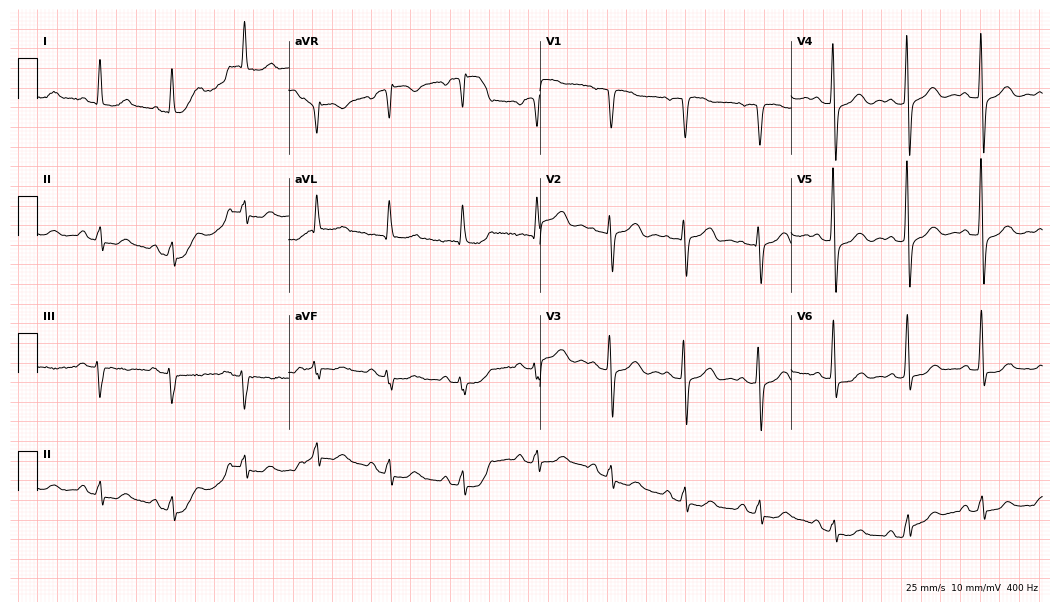
Standard 12-lead ECG recorded from a female patient, 71 years old. None of these six findings is recorded: first-degree AV block, right bundle branch block, left bundle branch block, sinus bradycardia, atrial fibrillation, sinus tachycardia. Other findings, if any, are not listed.